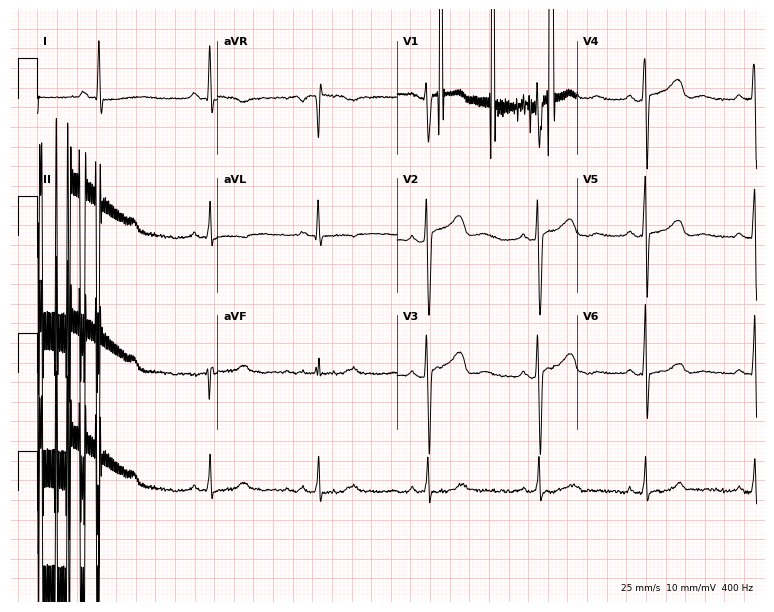
Electrocardiogram, a 58-year-old female. Overall reading on record: normal ECG.